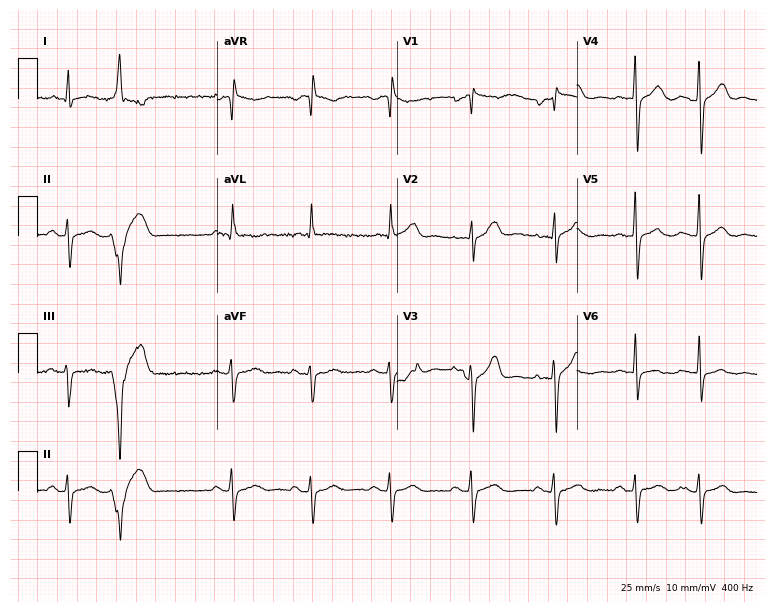
12-lead ECG (7.3-second recording at 400 Hz) from a 76-year-old man. Screened for six findings — first-degree AV block, right bundle branch block, left bundle branch block, sinus bradycardia, atrial fibrillation, sinus tachycardia — none is recorded. Only these six findings were labelled.